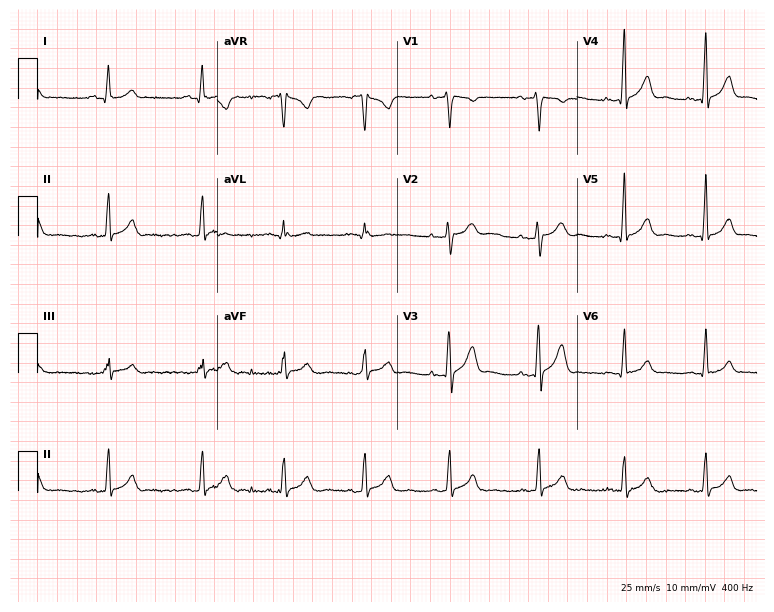
Electrocardiogram (7.3-second recording at 400 Hz), a 27-year-old man. Overall reading on record: normal ECG.